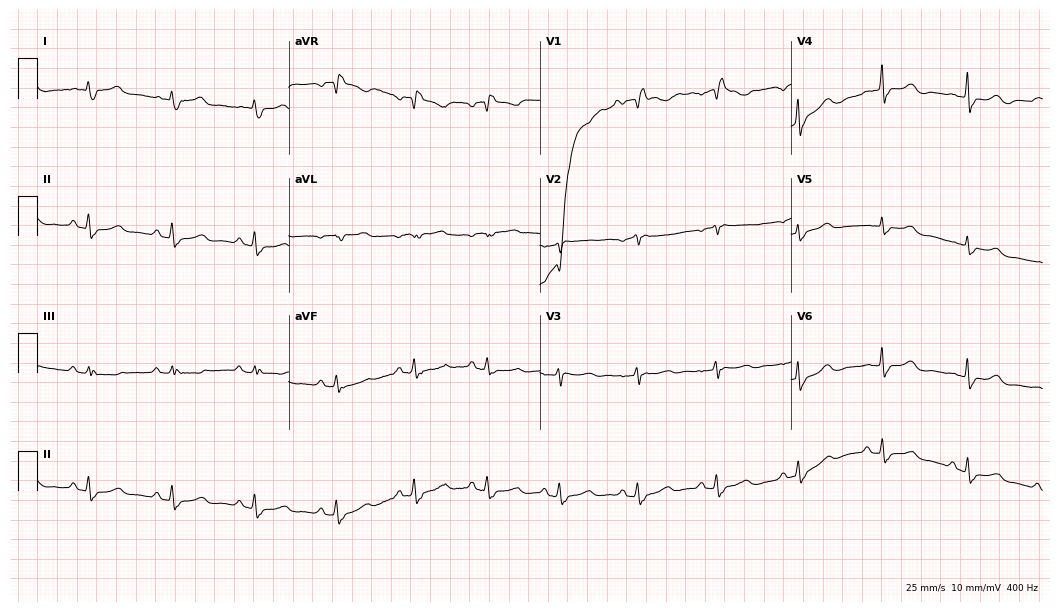
Electrocardiogram (10.2-second recording at 400 Hz), a female, 61 years old. Of the six screened findings (first-degree AV block, right bundle branch block, left bundle branch block, sinus bradycardia, atrial fibrillation, sinus tachycardia), none is recorded. Only these six findings were labelled.